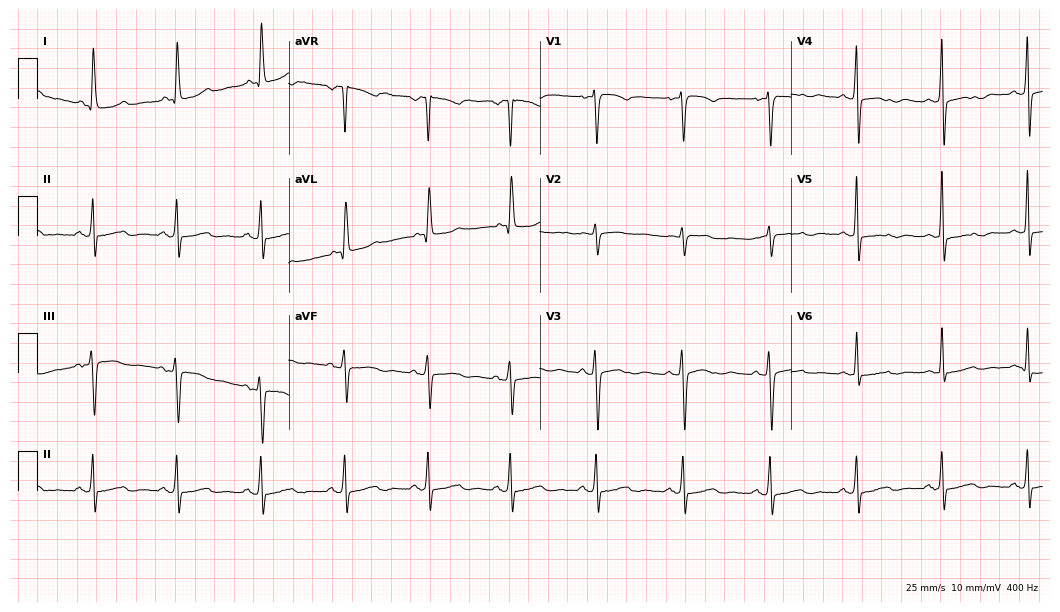
12-lead ECG from a man, 56 years old. Recorded interpretation: within normal limits.